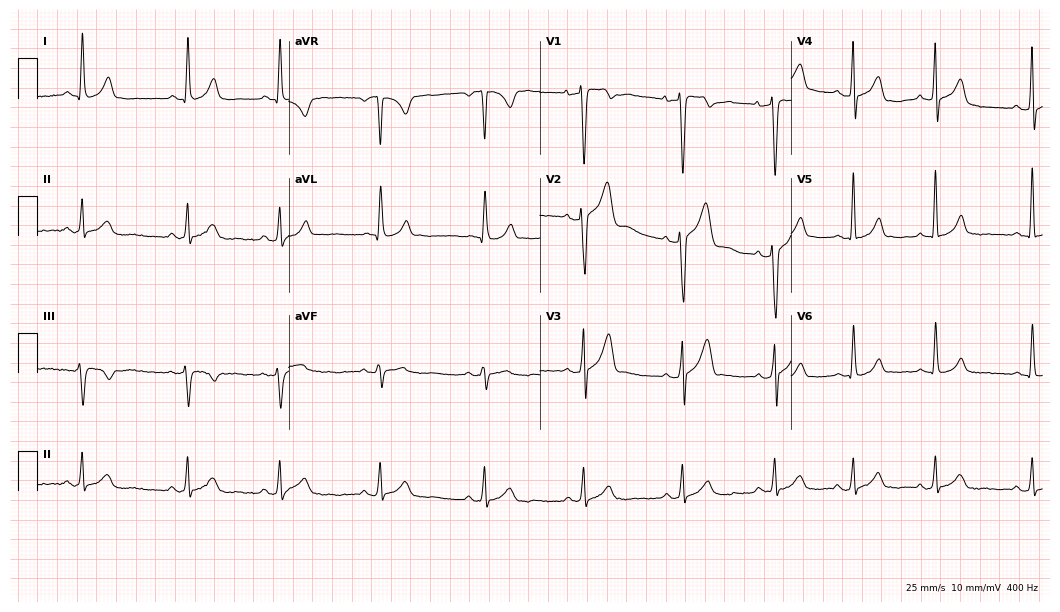
ECG — a 44-year-old man. Labelled as a normal ECG.